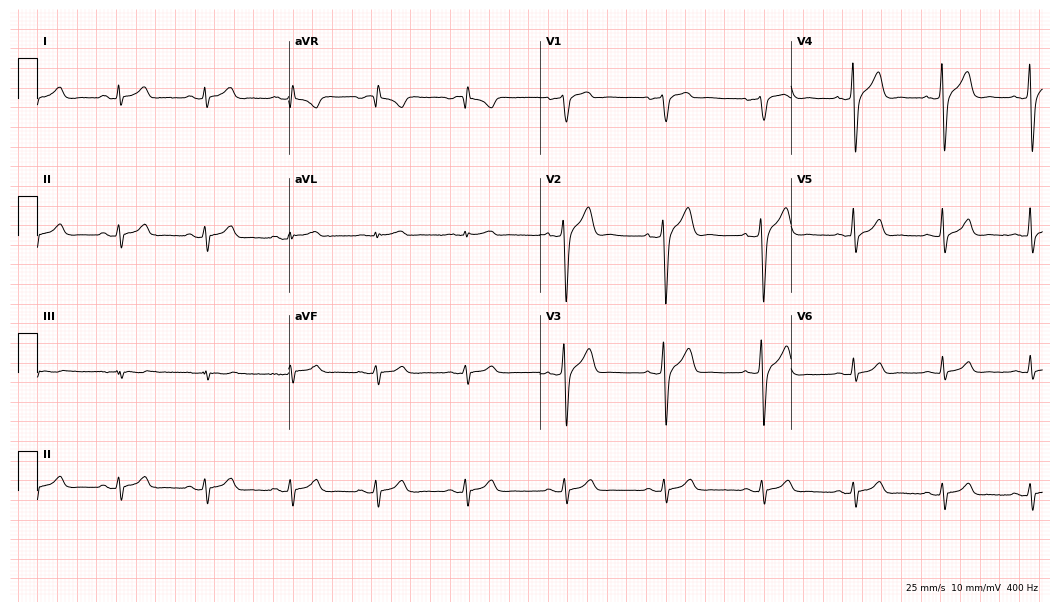
Resting 12-lead electrocardiogram. Patient: a man, 31 years old. Read as a normal ECG.